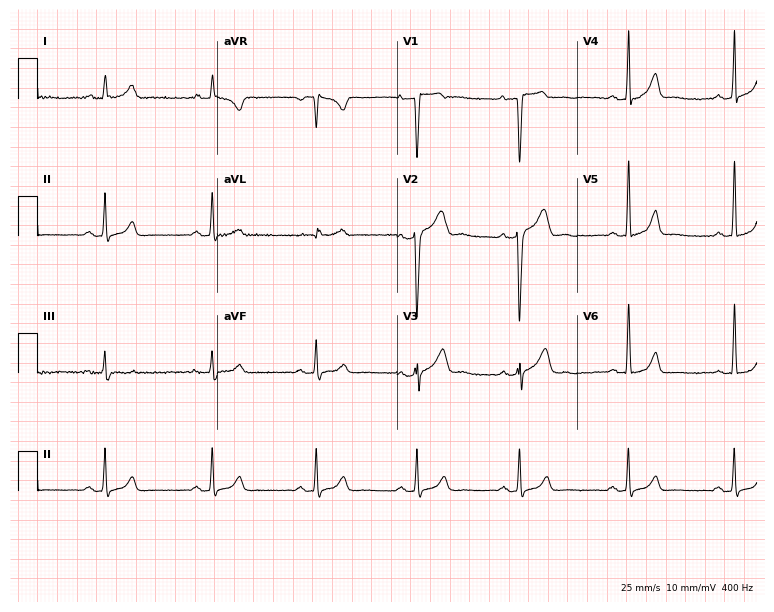
ECG — a 25-year-old man. Labelled as a normal ECG.